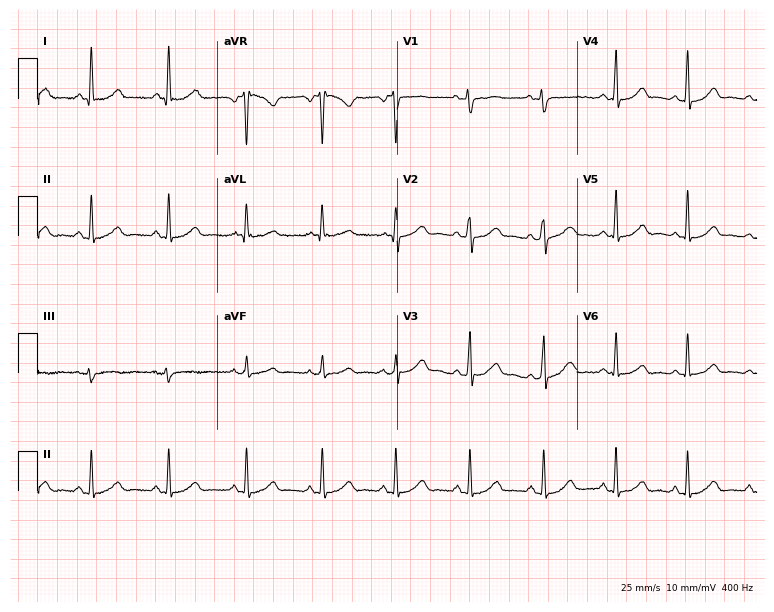
12-lead ECG from a 37-year-old female patient (7.3-second recording at 400 Hz). Recorded interpretation: within normal limits.